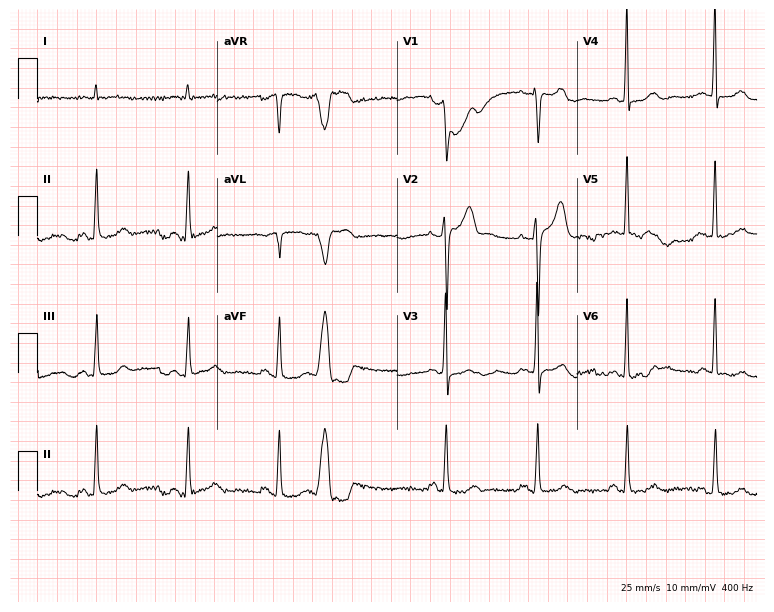
Electrocardiogram, a male, 65 years old. Of the six screened findings (first-degree AV block, right bundle branch block (RBBB), left bundle branch block (LBBB), sinus bradycardia, atrial fibrillation (AF), sinus tachycardia), none is recorded.